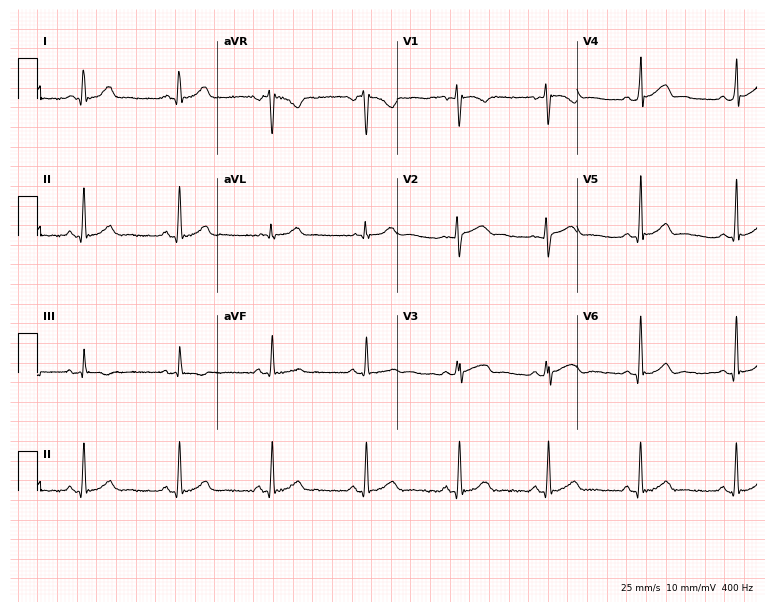
12-lead ECG (7.3-second recording at 400 Hz) from a 30-year-old woman. Labelled as a normal ECG.